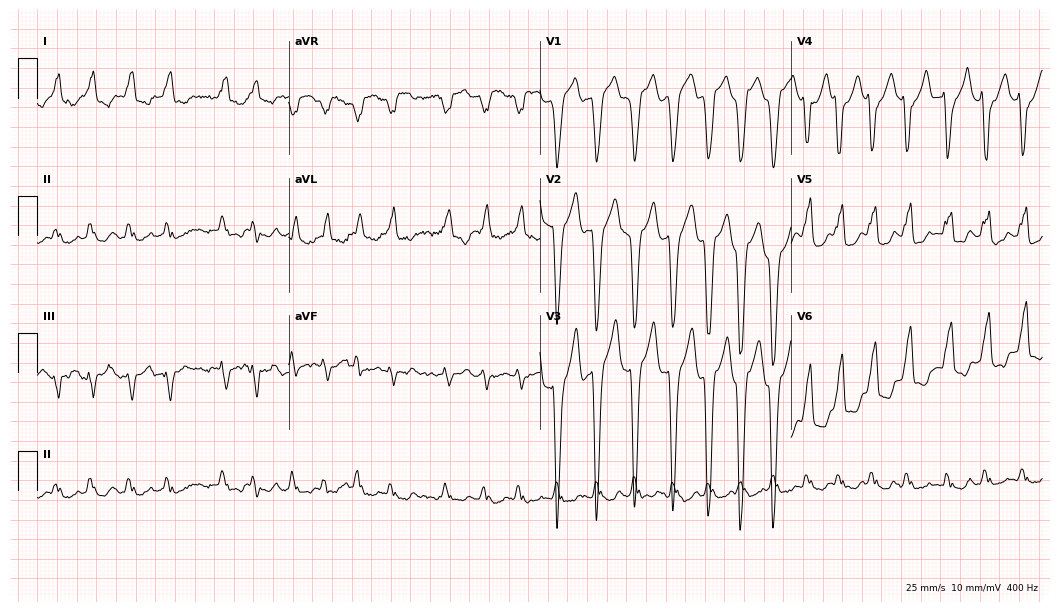
12-lead ECG from a 78-year-old male. Shows left bundle branch block, atrial fibrillation.